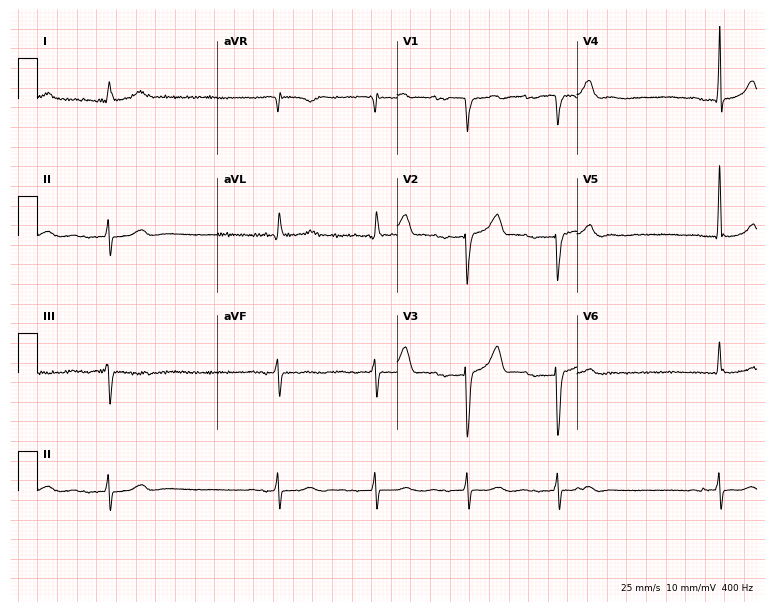
12-lead ECG (7.3-second recording at 400 Hz) from a 67-year-old man. Screened for six findings — first-degree AV block, right bundle branch block, left bundle branch block, sinus bradycardia, atrial fibrillation, sinus tachycardia — none is recorded. Findings outside these six are not listed.